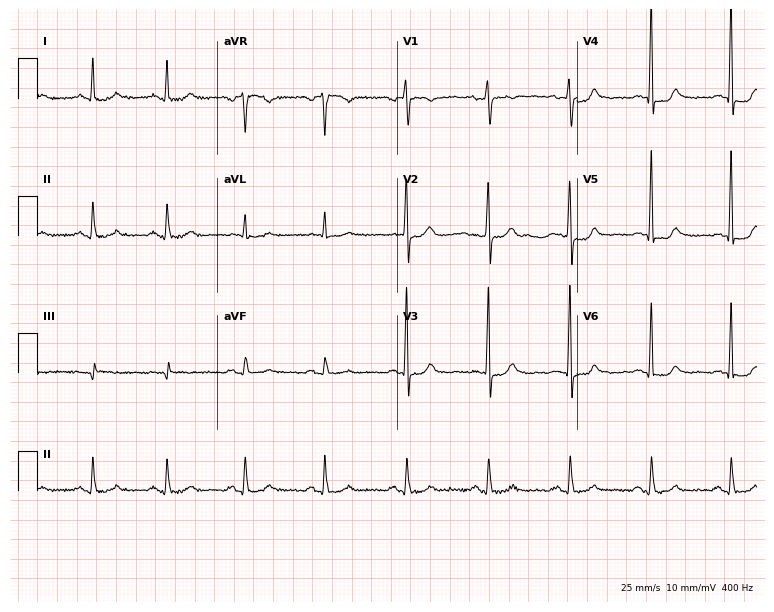
Standard 12-lead ECG recorded from a female patient, 53 years old. None of these six findings is recorded: first-degree AV block, right bundle branch block, left bundle branch block, sinus bradycardia, atrial fibrillation, sinus tachycardia.